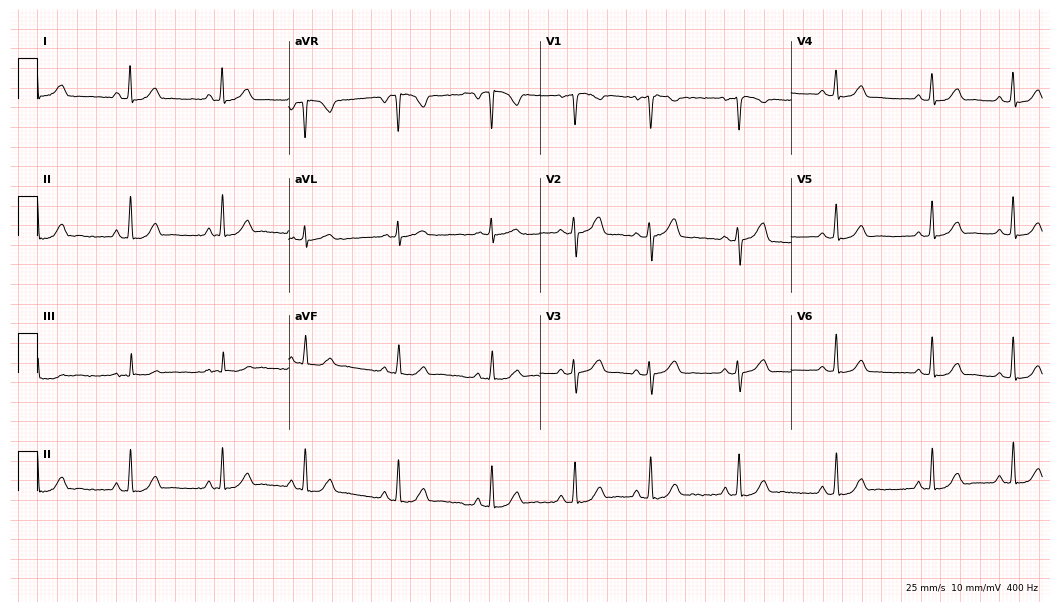
12-lead ECG from a female, 32 years old (10.2-second recording at 400 Hz). Recorded interpretation: within normal limits.